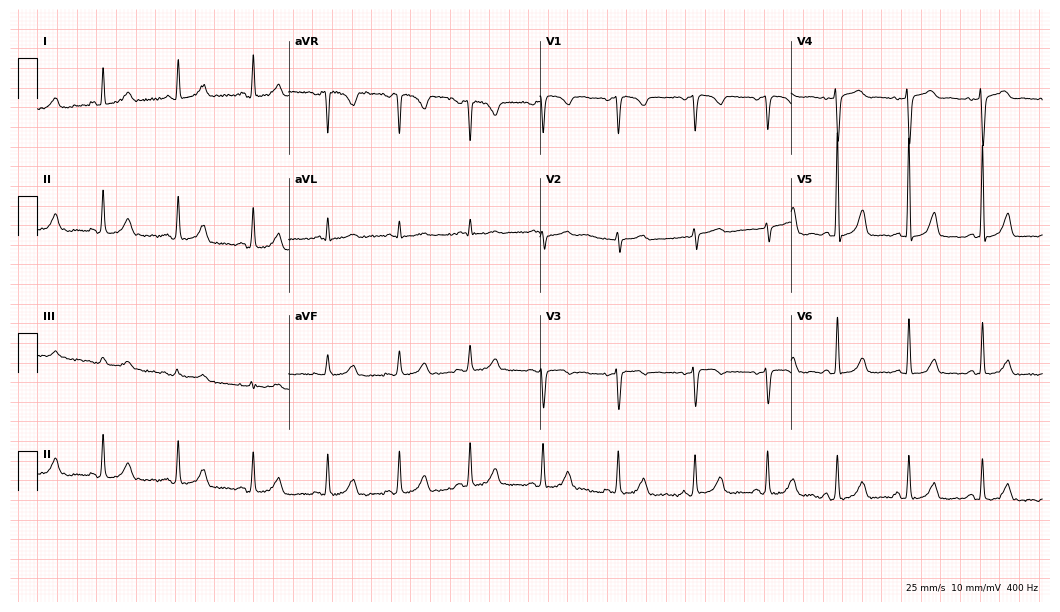
ECG (10.2-second recording at 400 Hz) — a woman, 58 years old. Screened for six findings — first-degree AV block, right bundle branch block (RBBB), left bundle branch block (LBBB), sinus bradycardia, atrial fibrillation (AF), sinus tachycardia — none is recorded.